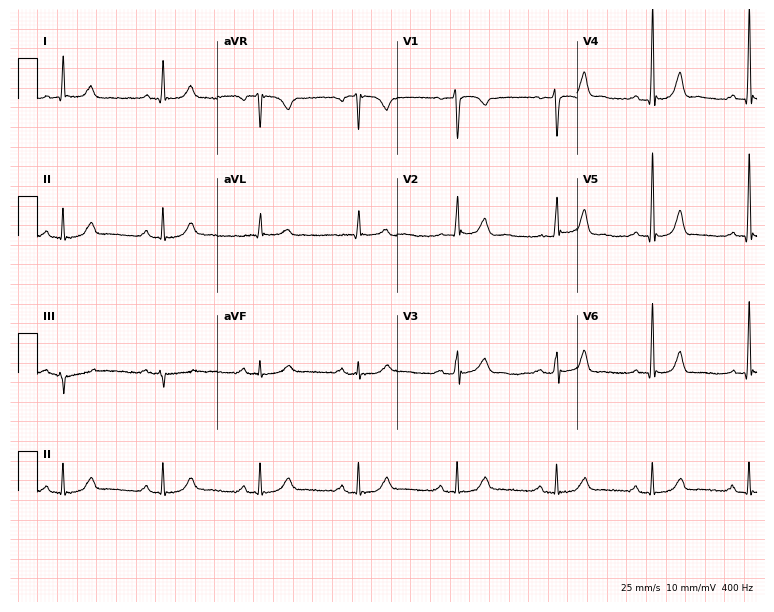
12-lead ECG from a male, 61 years old (7.3-second recording at 400 Hz). Recorded interpretation: within normal limits.